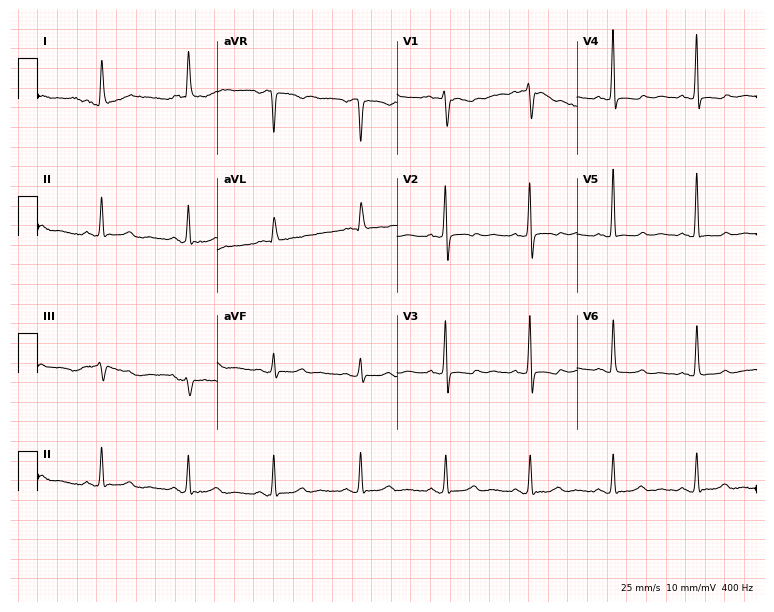
Standard 12-lead ECG recorded from a 77-year-old female (7.3-second recording at 400 Hz). None of these six findings is recorded: first-degree AV block, right bundle branch block, left bundle branch block, sinus bradycardia, atrial fibrillation, sinus tachycardia. Only these six findings were labelled.